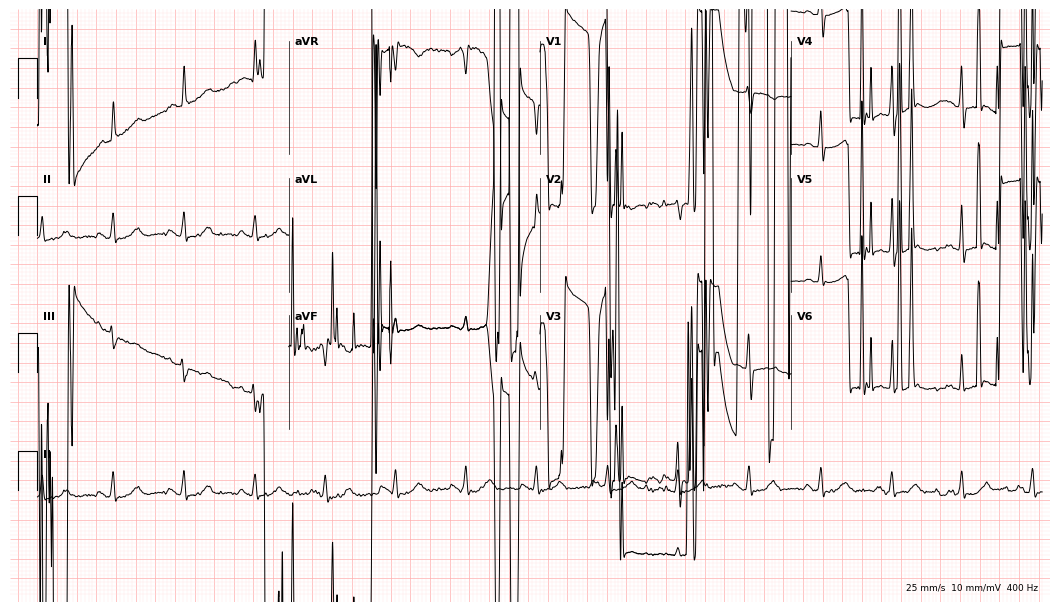
12-lead ECG (10.2-second recording at 400 Hz) from a woman, 67 years old. Screened for six findings — first-degree AV block, right bundle branch block (RBBB), left bundle branch block (LBBB), sinus bradycardia, atrial fibrillation (AF), sinus tachycardia — none is recorded.